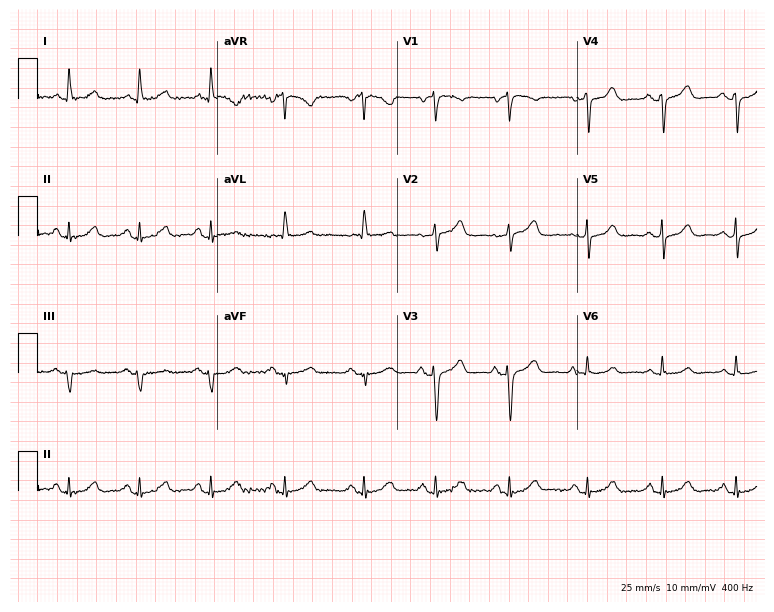
Electrocardiogram (7.3-second recording at 400 Hz), a female, 81 years old. Of the six screened findings (first-degree AV block, right bundle branch block, left bundle branch block, sinus bradycardia, atrial fibrillation, sinus tachycardia), none is recorded.